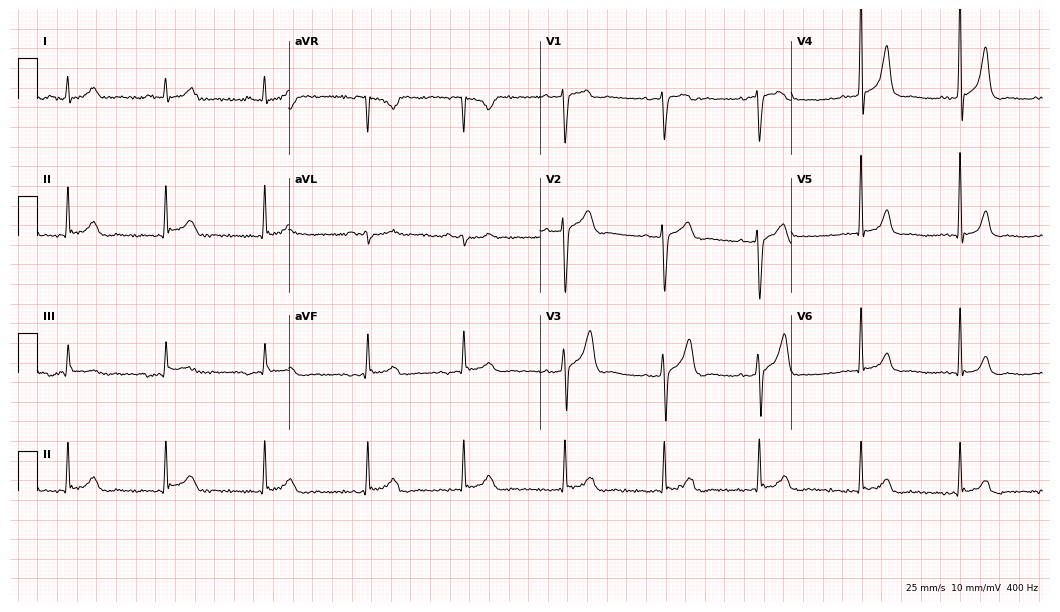
Standard 12-lead ECG recorded from a man, 48 years old. Read as a normal ECG.